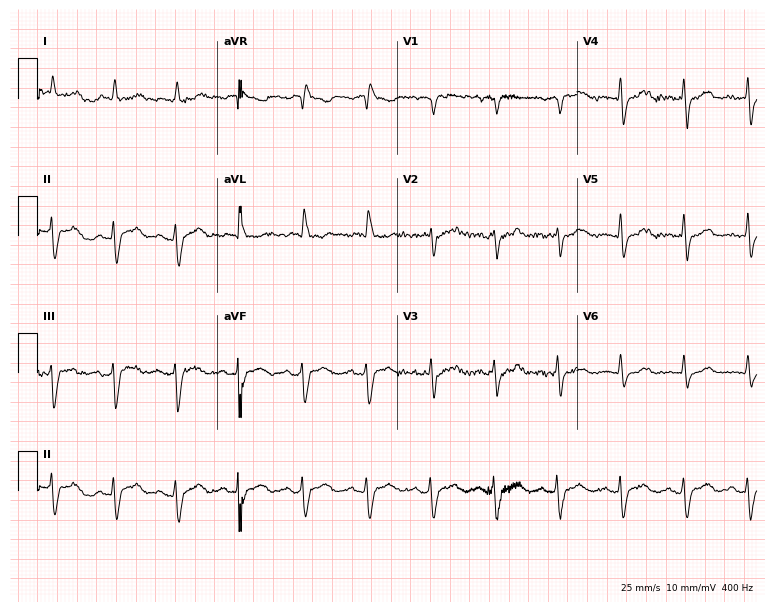
Resting 12-lead electrocardiogram. Patient: a 79-year-old male. None of these six findings is recorded: first-degree AV block, right bundle branch block (RBBB), left bundle branch block (LBBB), sinus bradycardia, atrial fibrillation (AF), sinus tachycardia. Findings outside these six are not listed.